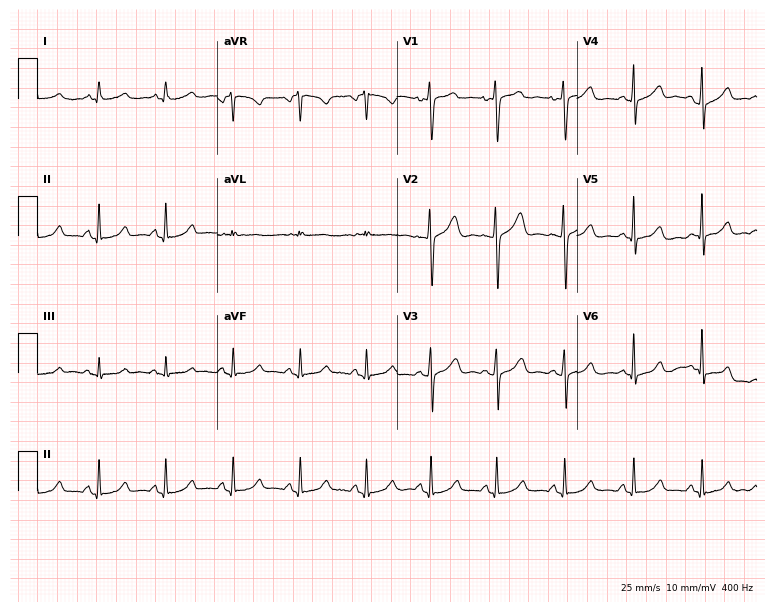
Resting 12-lead electrocardiogram (7.3-second recording at 400 Hz). Patient: a female, 36 years old. Read as a normal ECG.